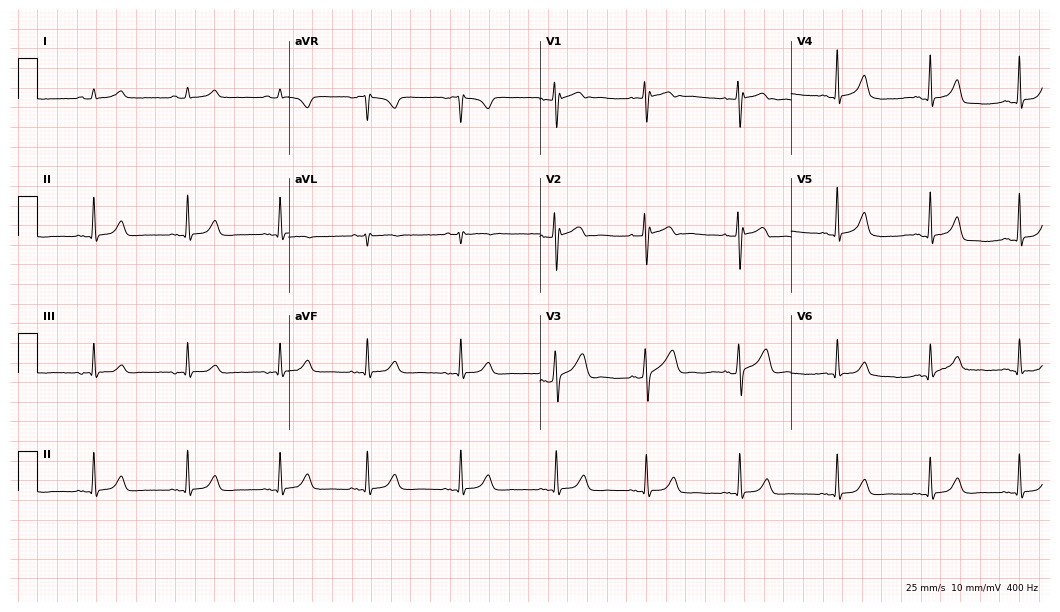
Electrocardiogram (10.2-second recording at 400 Hz), a 20-year-old female. Of the six screened findings (first-degree AV block, right bundle branch block (RBBB), left bundle branch block (LBBB), sinus bradycardia, atrial fibrillation (AF), sinus tachycardia), none is recorded. Findings outside these six are not listed.